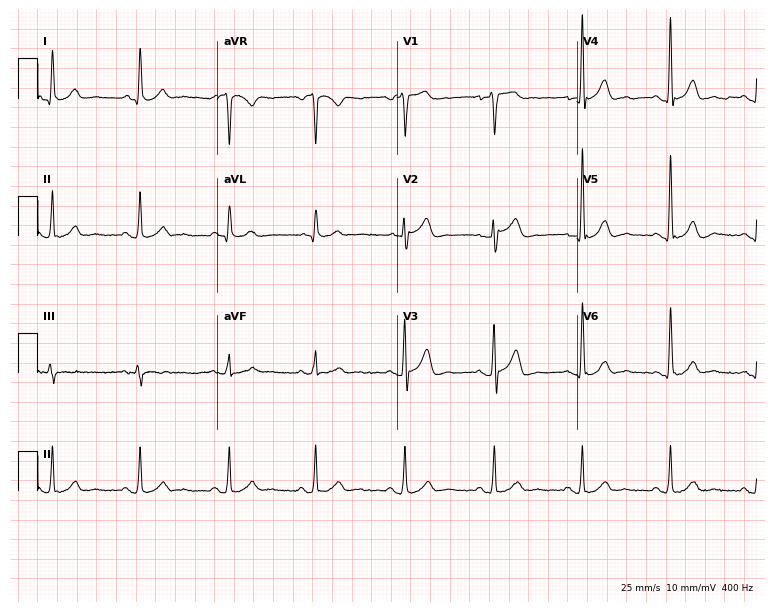
Electrocardiogram (7.3-second recording at 400 Hz), a 62-year-old male patient. Overall reading on record: normal ECG.